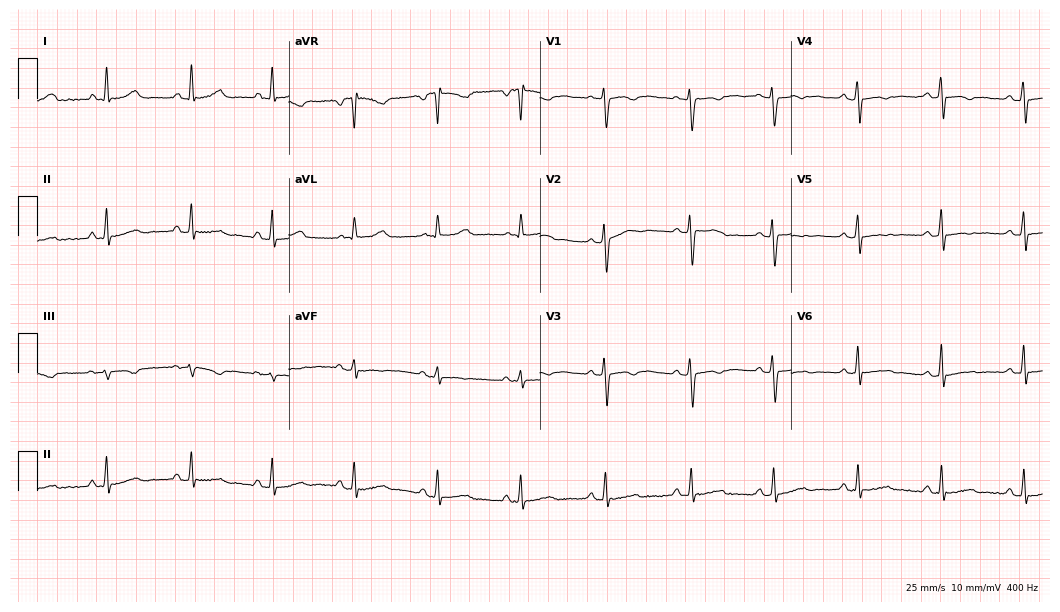
Standard 12-lead ECG recorded from a 52-year-old female patient (10.2-second recording at 400 Hz). None of these six findings is recorded: first-degree AV block, right bundle branch block, left bundle branch block, sinus bradycardia, atrial fibrillation, sinus tachycardia. Findings outside these six are not listed.